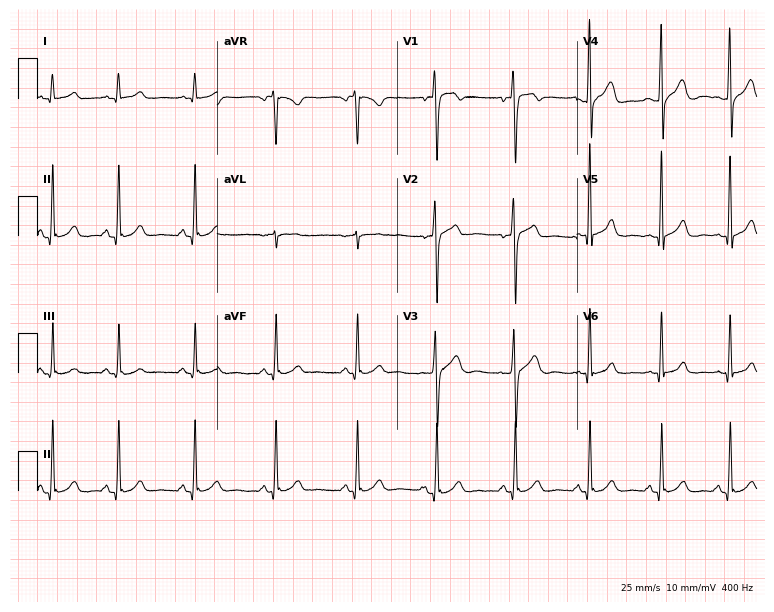
12-lead ECG (7.3-second recording at 400 Hz) from a male patient, 29 years old. Screened for six findings — first-degree AV block, right bundle branch block, left bundle branch block, sinus bradycardia, atrial fibrillation, sinus tachycardia — none is recorded. Other findings, if any, are not listed.